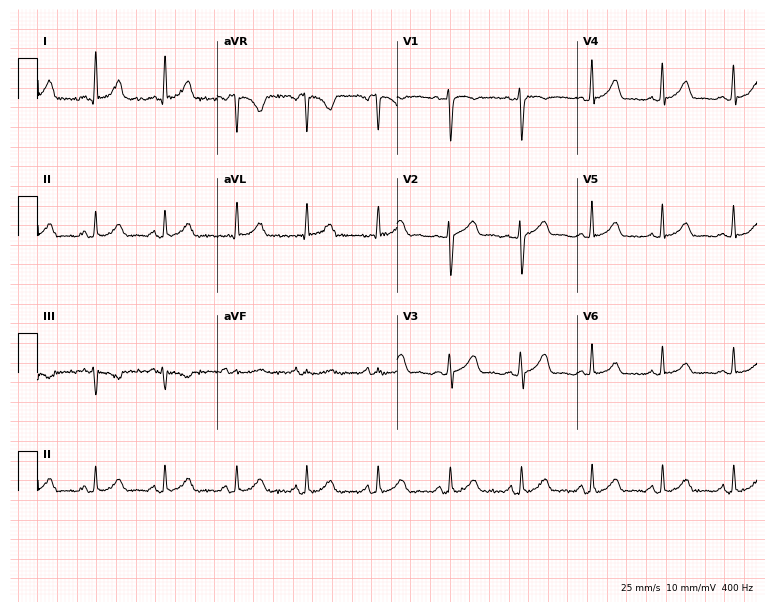
ECG (7.3-second recording at 400 Hz) — a 39-year-old woman. Labelled as a normal ECG.